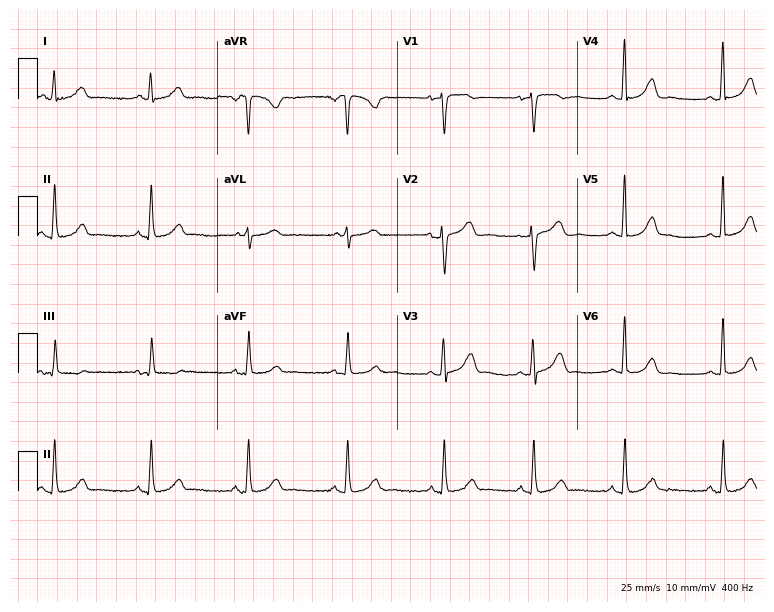
12-lead ECG from a 38-year-old female (7.3-second recording at 400 Hz). Recorded interpretation: within normal limits.